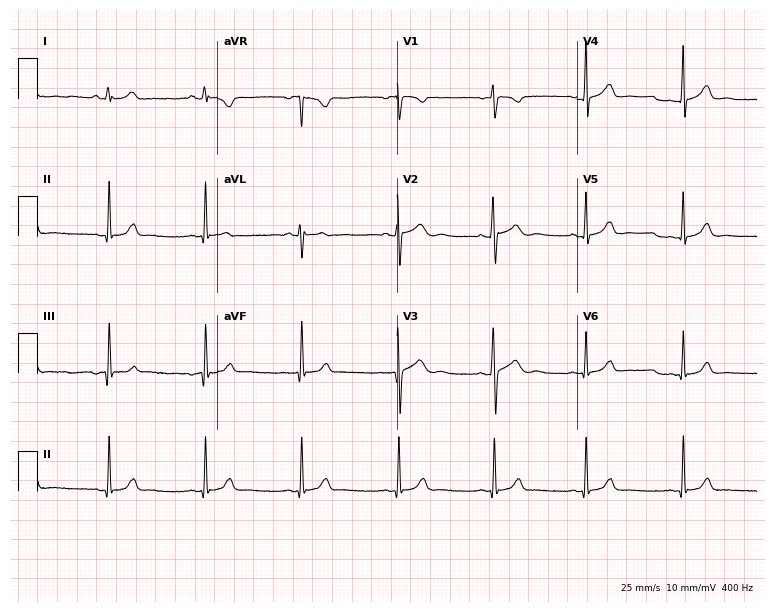
12-lead ECG from a 19-year-old female. Recorded interpretation: within normal limits.